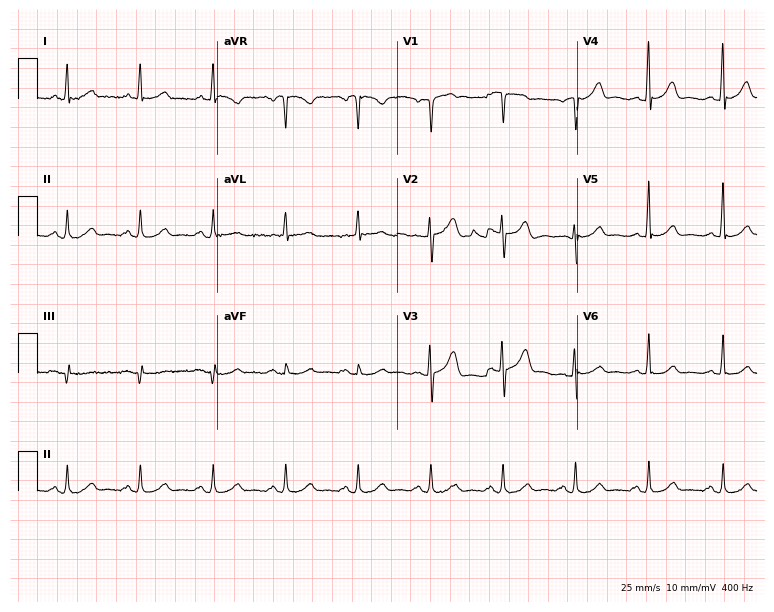
Standard 12-lead ECG recorded from a male, 62 years old (7.3-second recording at 400 Hz). Read as a normal ECG.